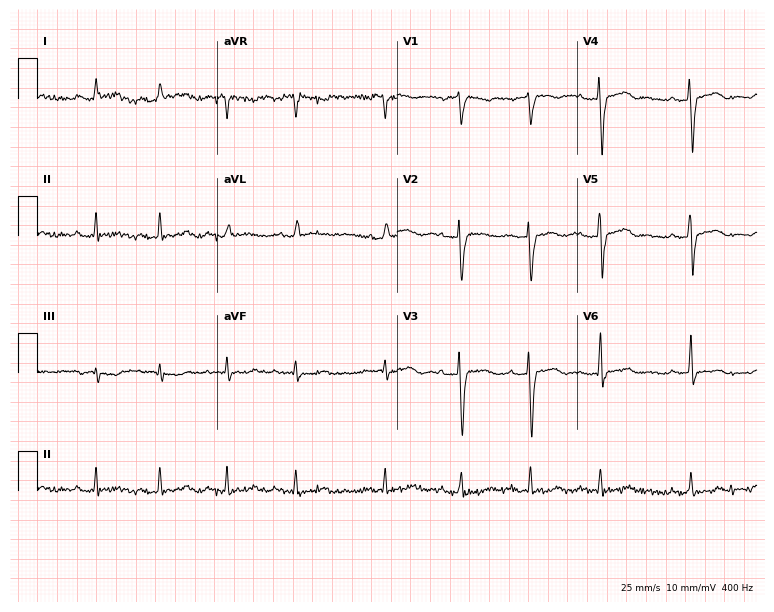
12-lead ECG from a female patient, 67 years old (7.3-second recording at 400 Hz). No first-degree AV block, right bundle branch block, left bundle branch block, sinus bradycardia, atrial fibrillation or sinus tachycardia recorded for this tracing.